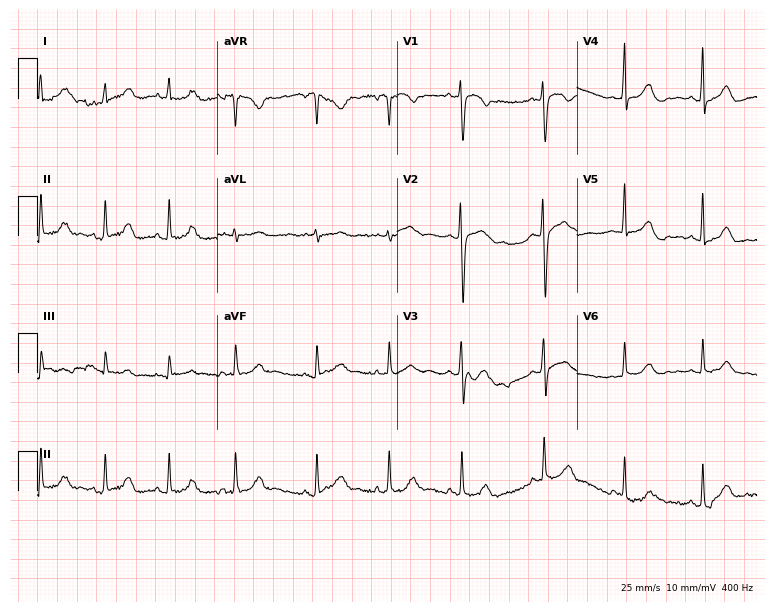
Standard 12-lead ECG recorded from a woman, 24 years old. Read as a normal ECG.